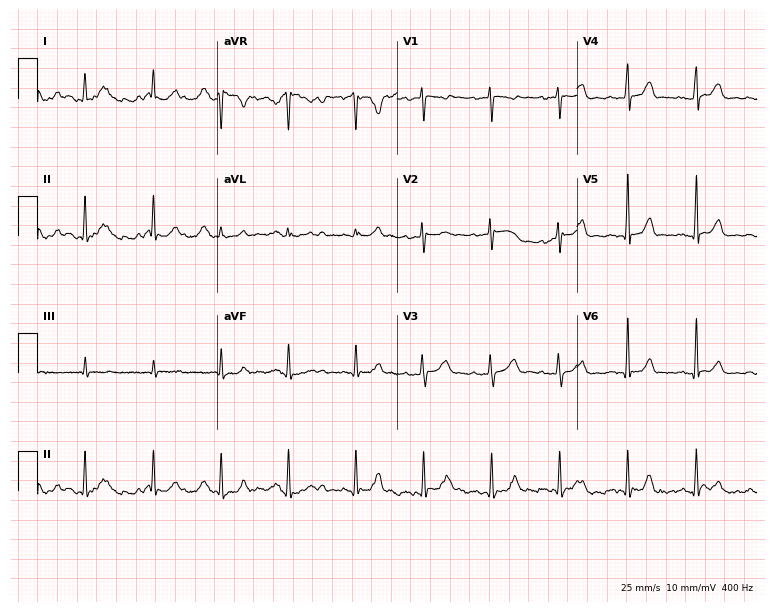
Standard 12-lead ECG recorded from a 52-year-old female patient. None of these six findings is recorded: first-degree AV block, right bundle branch block (RBBB), left bundle branch block (LBBB), sinus bradycardia, atrial fibrillation (AF), sinus tachycardia.